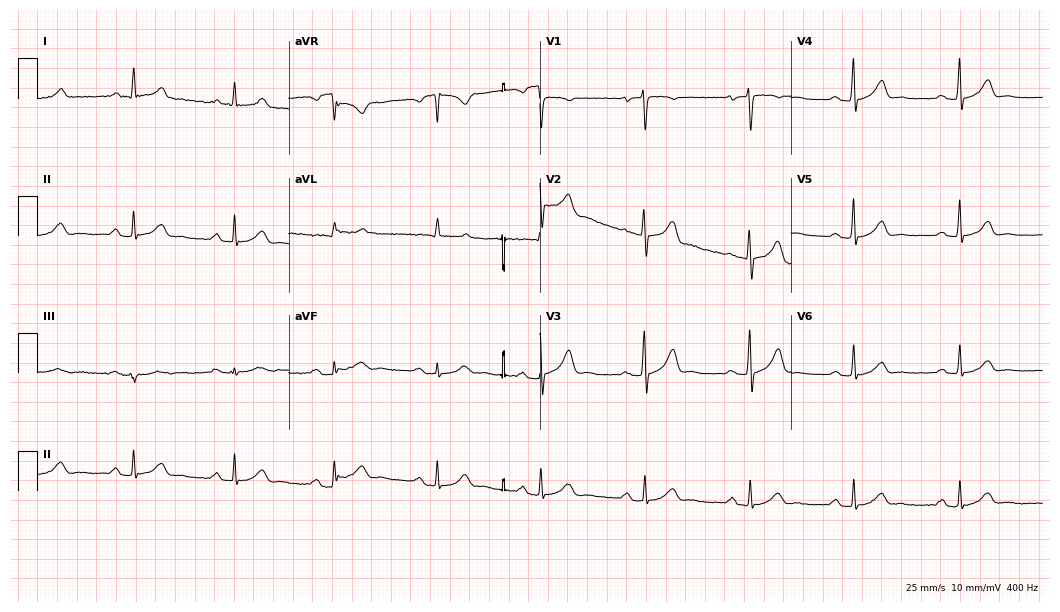
12-lead ECG from a male patient, 54 years old. Recorded interpretation: within normal limits.